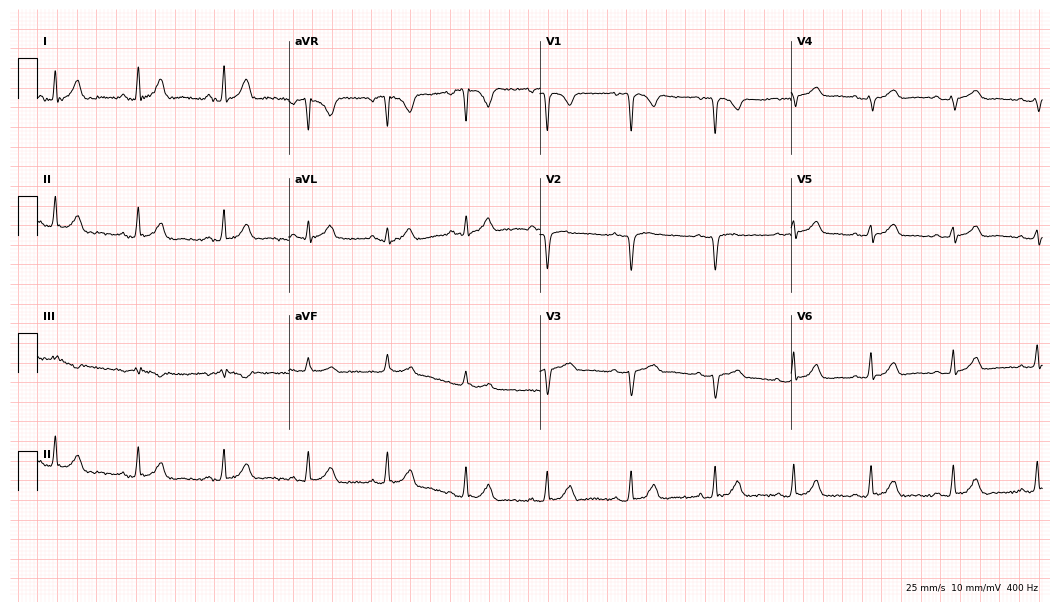
ECG — a 40-year-old female. Screened for six findings — first-degree AV block, right bundle branch block, left bundle branch block, sinus bradycardia, atrial fibrillation, sinus tachycardia — none is recorded. Only these six findings were labelled.